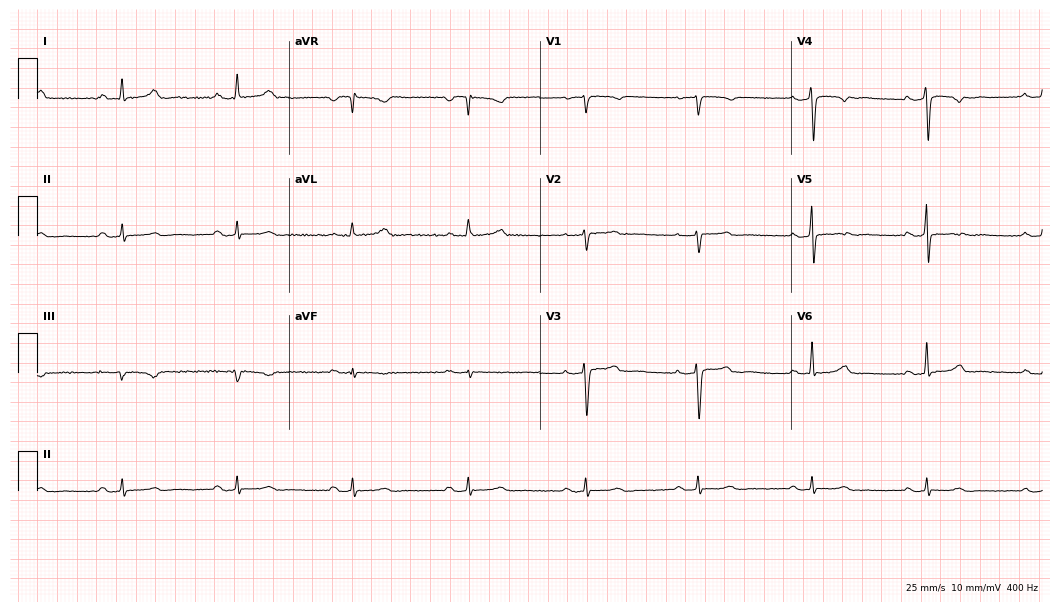
12-lead ECG from a 40-year-old woman. No first-degree AV block, right bundle branch block (RBBB), left bundle branch block (LBBB), sinus bradycardia, atrial fibrillation (AF) or sinus tachycardia recorded for this tracing.